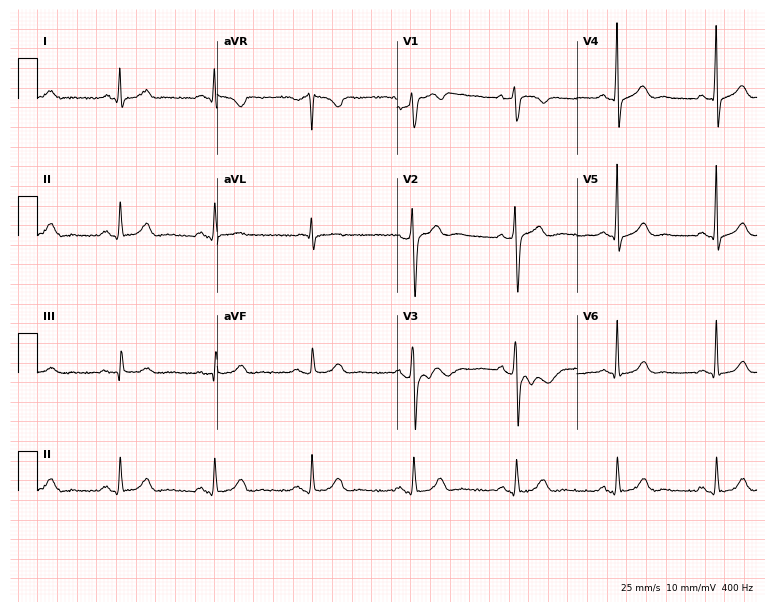
Electrocardiogram, a male patient, 32 years old. Overall reading on record: normal ECG.